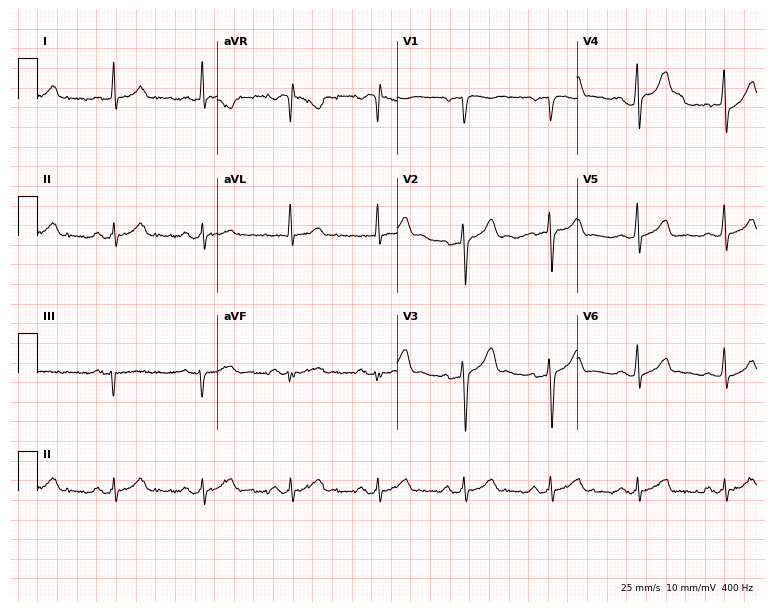
12-lead ECG from a male patient, 51 years old. Screened for six findings — first-degree AV block, right bundle branch block, left bundle branch block, sinus bradycardia, atrial fibrillation, sinus tachycardia — none is recorded. Findings outside these six are not listed.